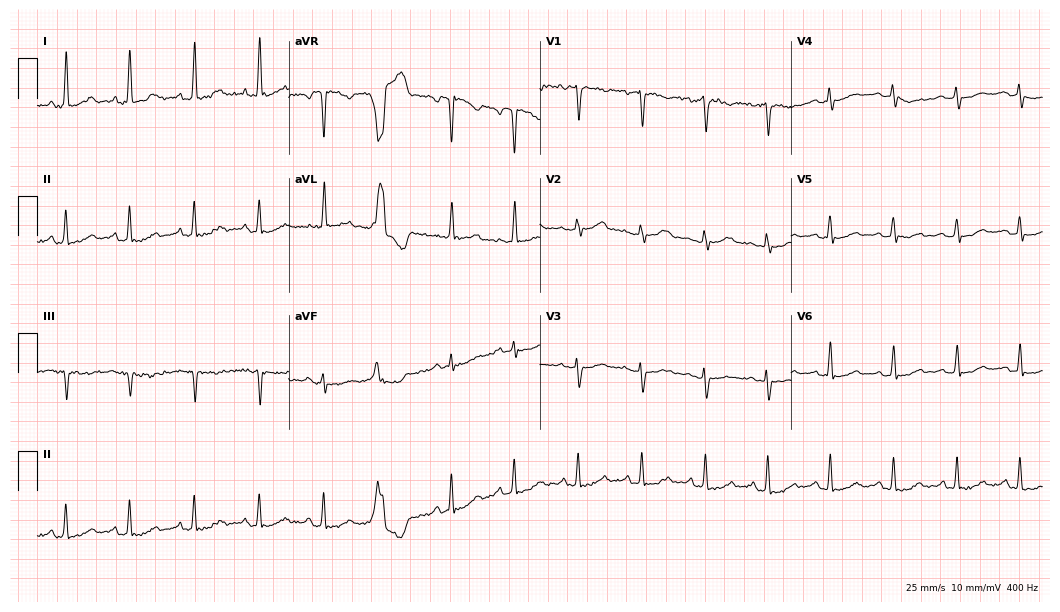
12-lead ECG from a female, 64 years old (10.2-second recording at 400 Hz). No first-degree AV block, right bundle branch block (RBBB), left bundle branch block (LBBB), sinus bradycardia, atrial fibrillation (AF) or sinus tachycardia recorded for this tracing.